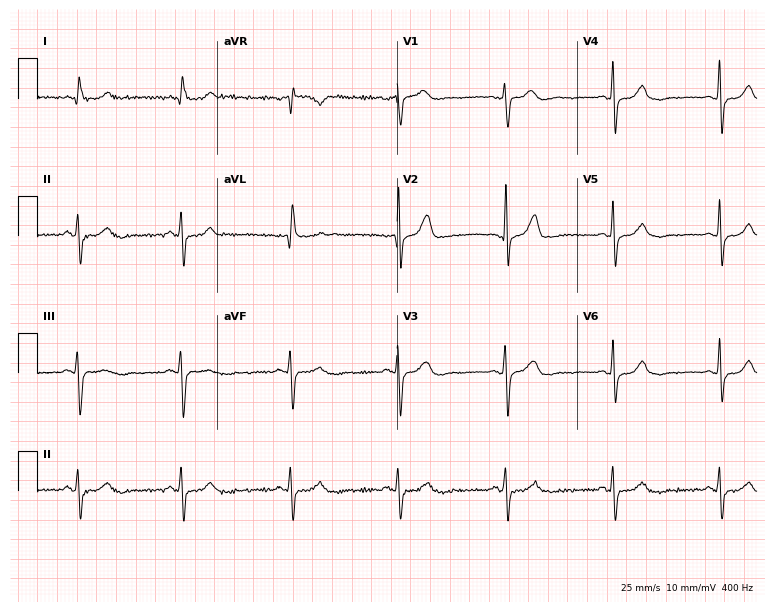
Resting 12-lead electrocardiogram. Patient: a male, 60 years old. None of these six findings is recorded: first-degree AV block, right bundle branch block, left bundle branch block, sinus bradycardia, atrial fibrillation, sinus tachycardia. Other findings, if any, are not listed.